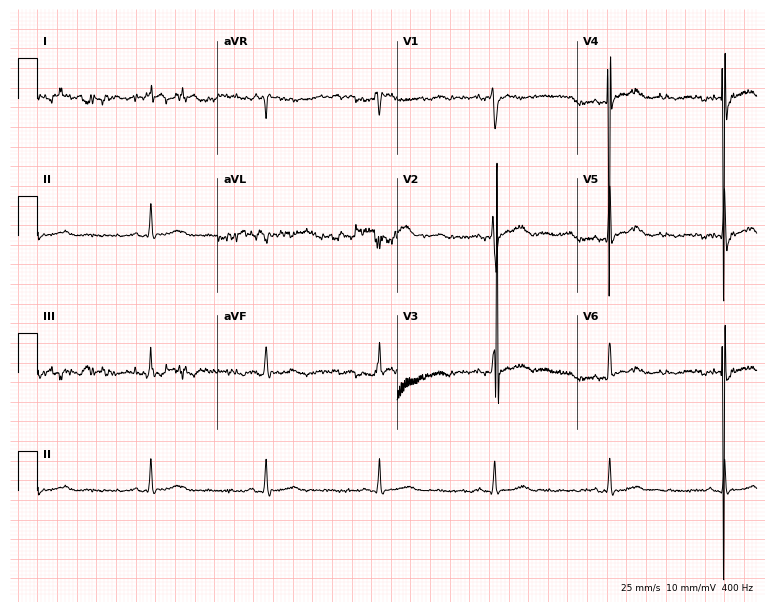
12-lead ECG (7.3-second recording at 400 Hz) from a male patient, 44 years old. Screened for six findings — first-degree AV block, right bundle branch block, left bundle branch block, sinus bradycardia, atrial fibrillation, sinus tachycardia — none is recorded.